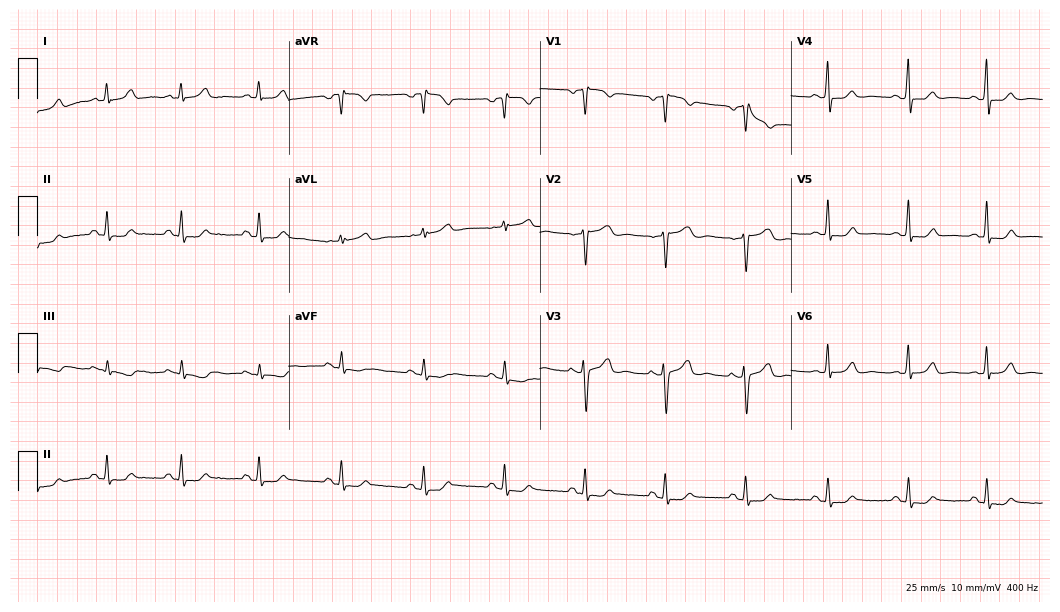
12-lead ECG (10.2-second recording at 400 Hz) from a 57-year-old man. Screened for six findings — first-degree AV block, right bundle branch block, left bundle branch block, sinus bradycardia, atrial fibrillation, sinus tachycardia — none is recorded.